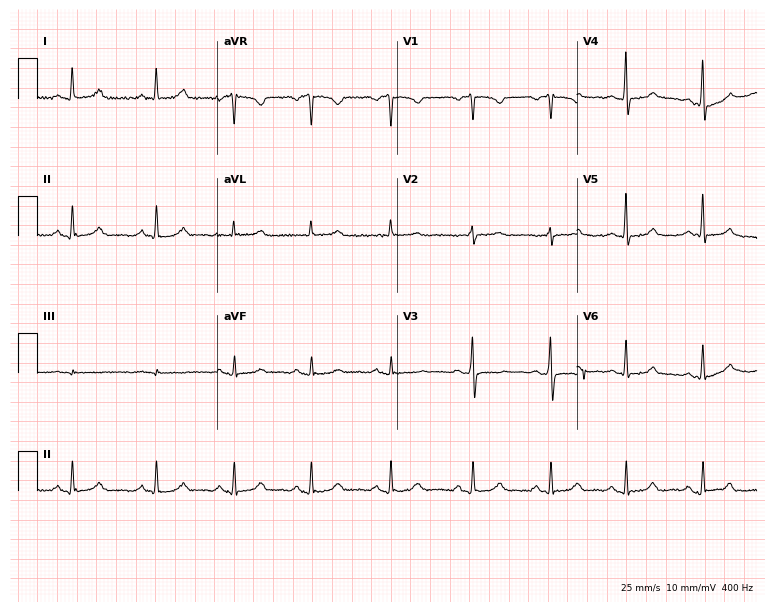
12-lead ECG from a 46-year-old female (7.3-second recording at 400 Hz). Recorded interpretation: within normal limits.